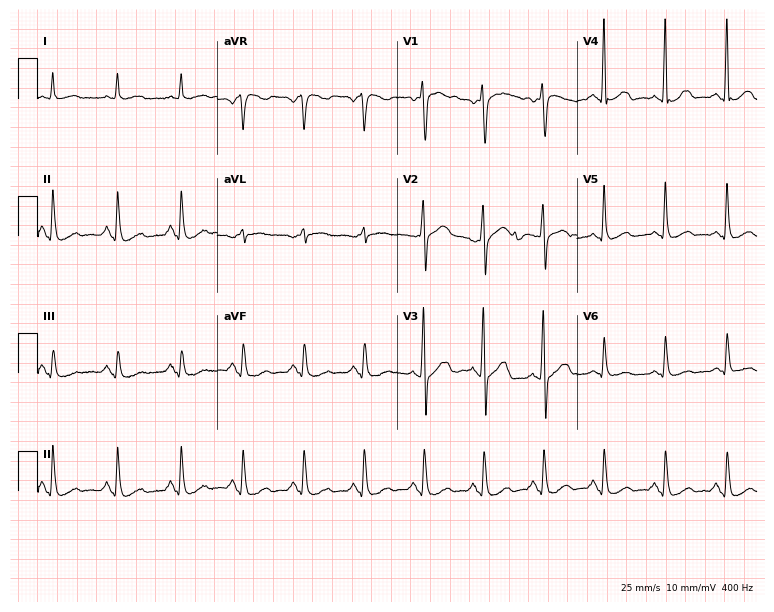
12-lead ECG from a male patient, 59 years old. Recorded interpretation: within normal limits.